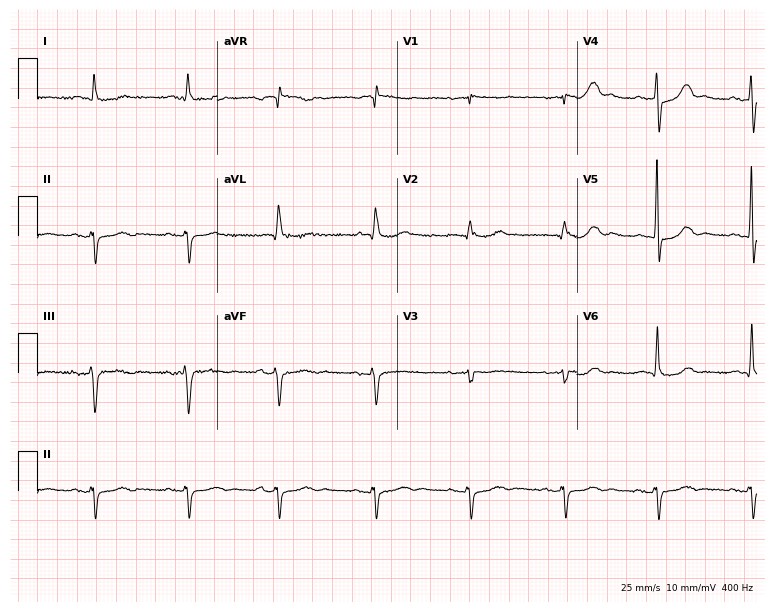
Electrocardiogram, a male, 84 years old. Of the six screened findings (first-degree AV block, right bundle branch block, left bundle branch block, sinus bradycardia, atrial fibrillation, sinus tachycardia), none is recorded.